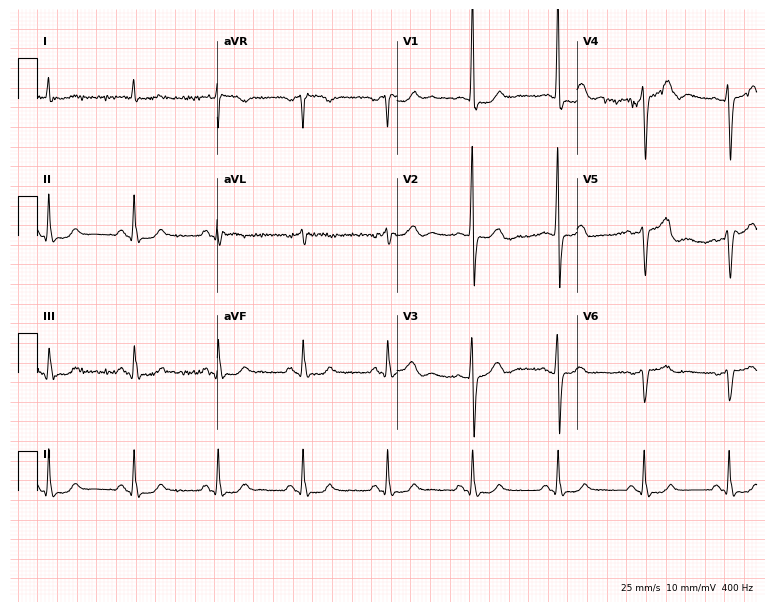
12-lead ECG from a man, 64 years old. Screened for six findings — first-degree AV block, right bundle branch block, left bundle branch block, sinus bradycardia, atrial fibrillation, sinus tachycardia — none is recorded.